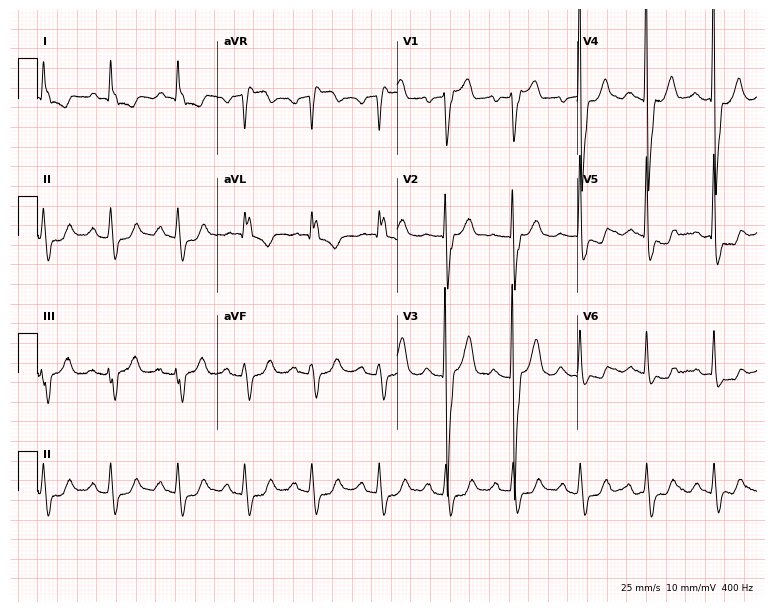
12-lead ECG (7.3-second recording at 400 Hz) from a 62-year-old male patient. Findings include first-degree AV block.